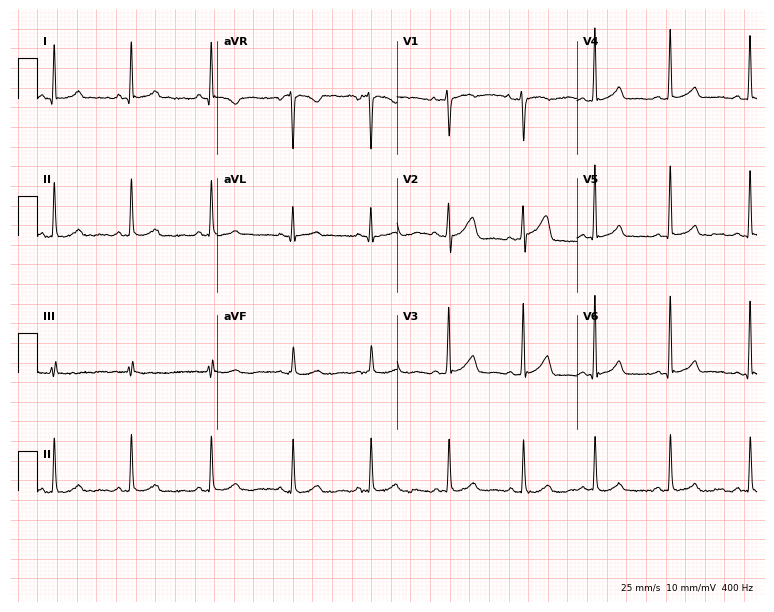
Electrocardiogram, a 35-year-old woman. Overall reading on record: normal ECG.